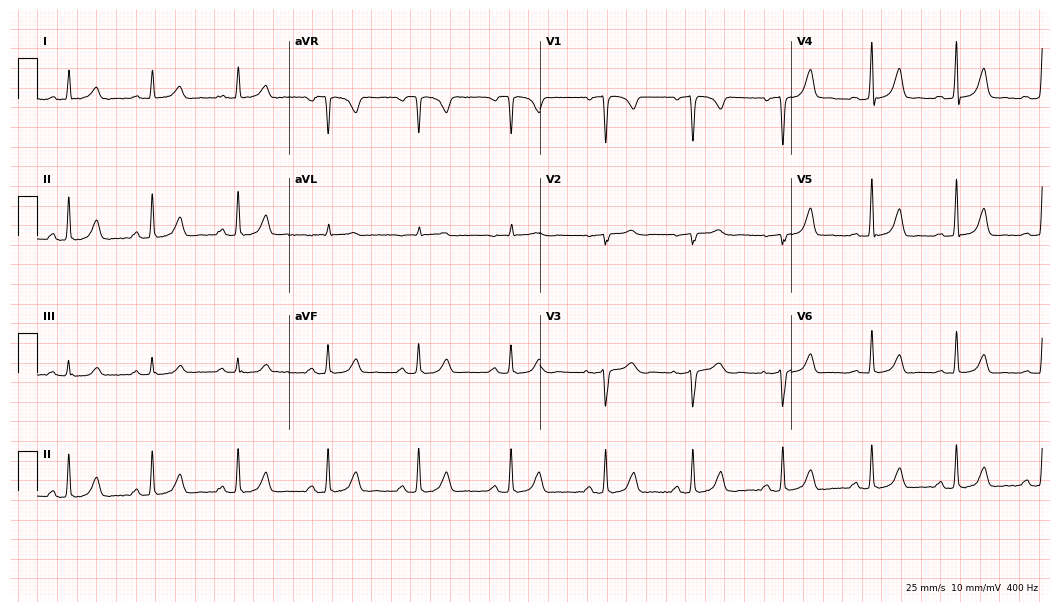
12-lead ECG from a 38-year-old woman. Labelled as a normal ECG.